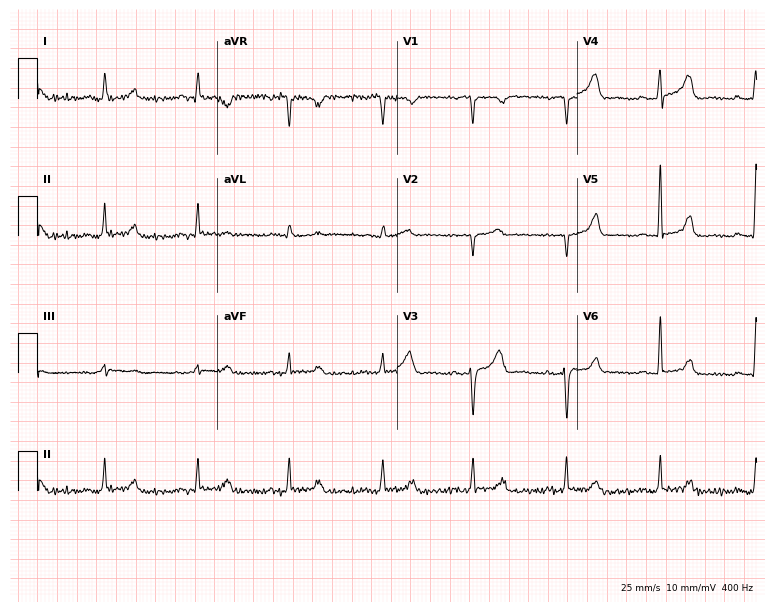
12-lead ECG (7.3-second recording at 400 Hz) from a female patient, 48 years old. Screened for six findings — first-degree AV block, right bundle branch block, left bundle branch block, sinus bradycardia, atrial fibrillation, sinus tachycardia — none is recorded.